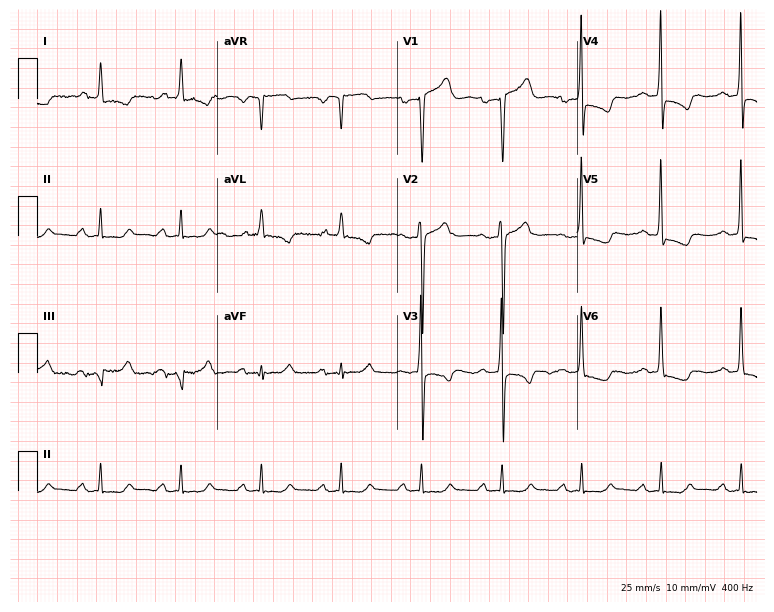
Electrocardiogram (7.3-second recording at 400 Hz), a 67-year-old male. Interpretation includes first-degree AV block.